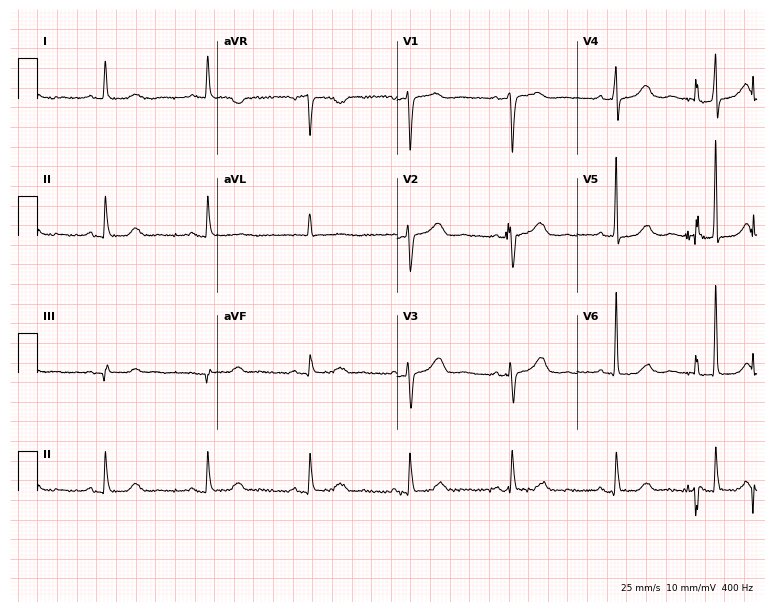
Resting 12-lead electrocardiogram (7.3-second recording at 400 Hz). Patient: a female, 81 years old. Read as a normal ECG.